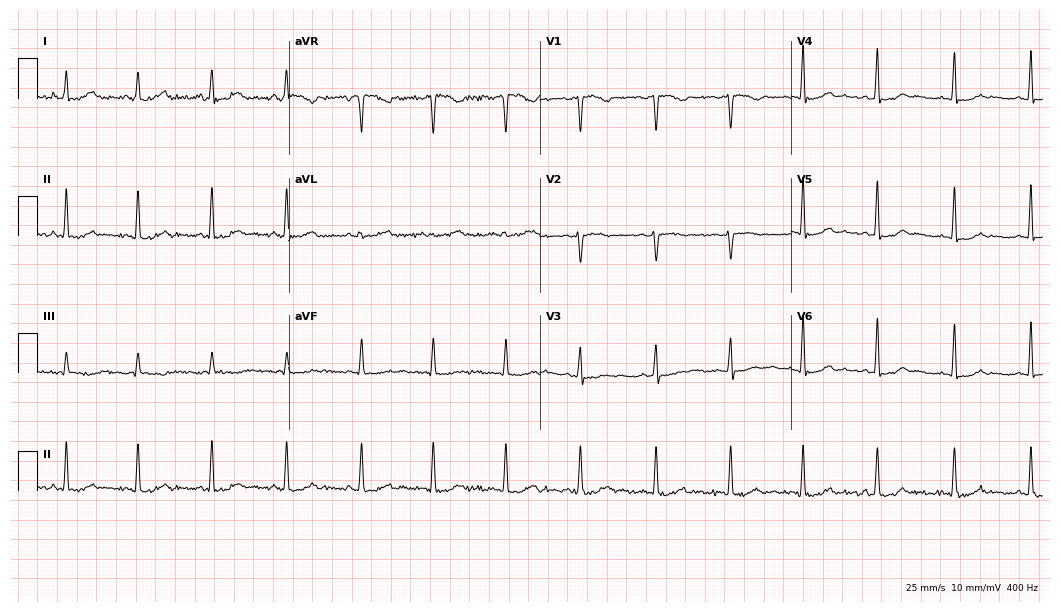
ECG (10.2-second recording at 400 Hz) — a 39-year-old woman. Labelled as a normal ECG.